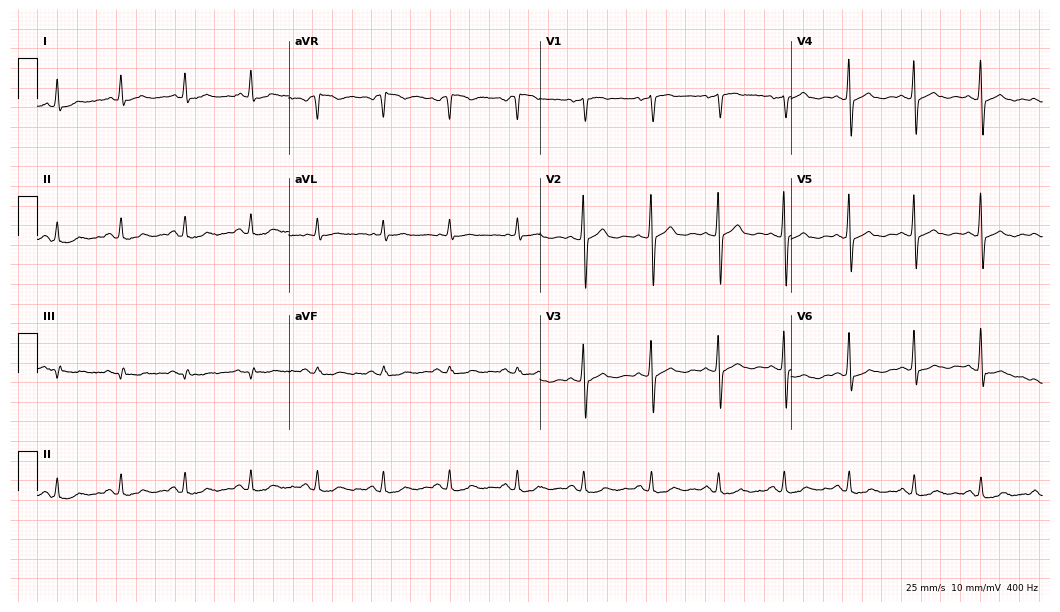
Electrocardiogram, a 63-year-old female. Overall reading on record: normal ECG.